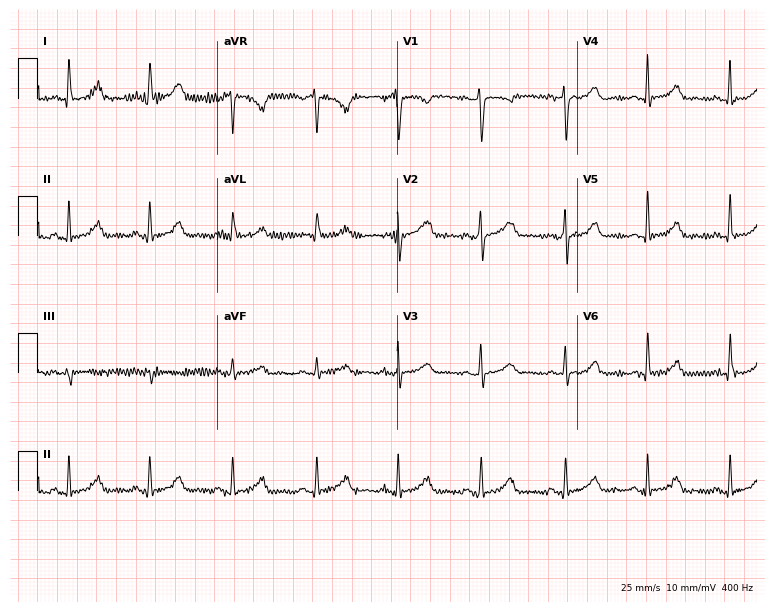
ECG — a woman, 28 years old. Screened for six findings — first-degree AV block, right bundle branch block, left bundle branch block, sinus bradycardia, atrial fibrillation, sinus tachycardia — none is recorded. Only these six findings were labelled.